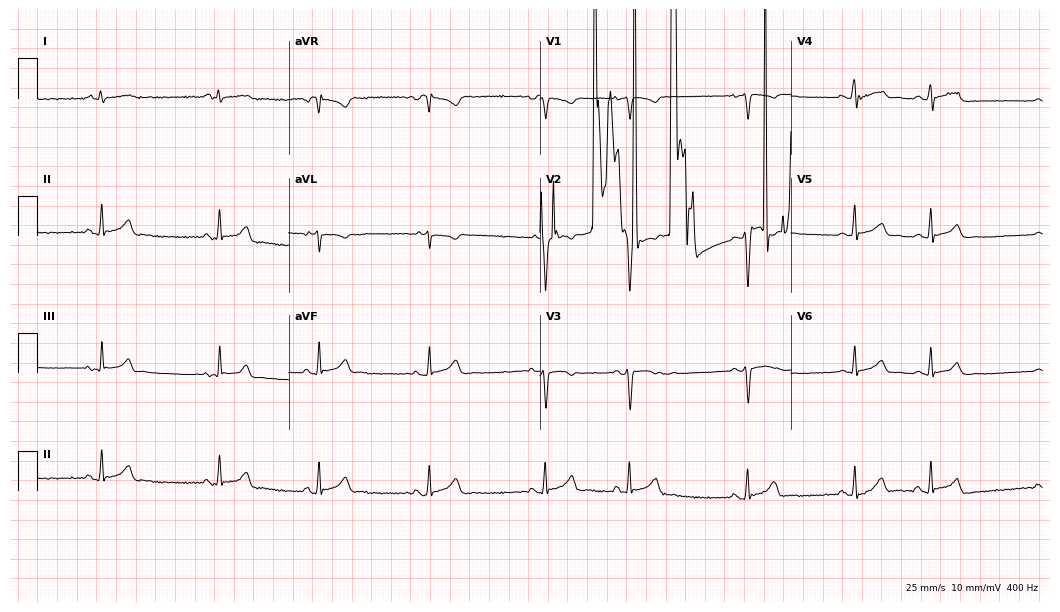
ECG — an 18-year-old woman. Screened for six findings — first-degree AV block, right bundle branch block (RBBB), left bundle branch block (LBBB), sinus bradycardia, atrial fibrillation (AF), sinus tachycardia — none is recorded. Only these six findings were labelled.